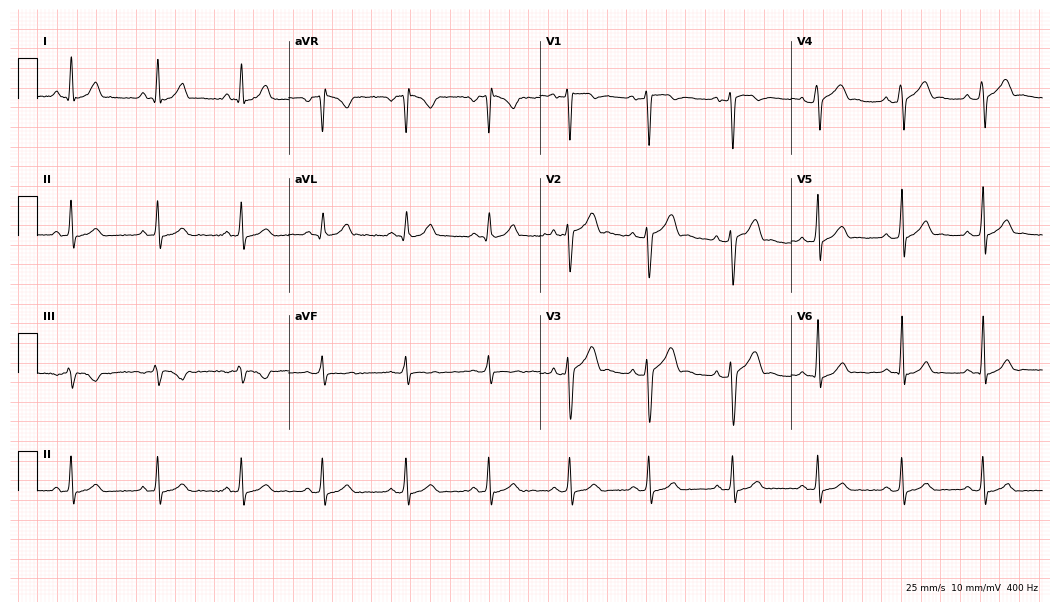
Standard 12-lead ECG recorded from a 26-year-old man (10.2-second recording at 400 Hz). Read as a normal ECG.